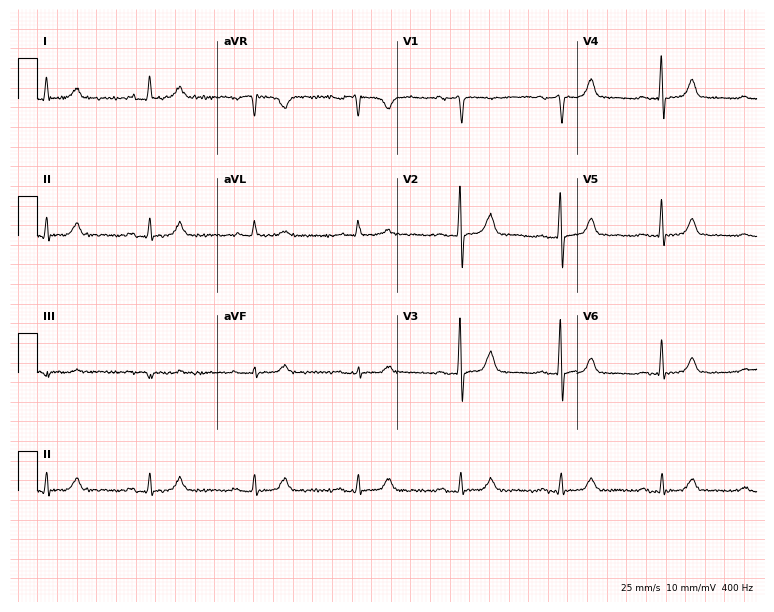
Standard 12-lead ECG recorded from a 75-year-old female patient (7.3-second recording at 400 Hz). The tracing shows first-degree AV block.